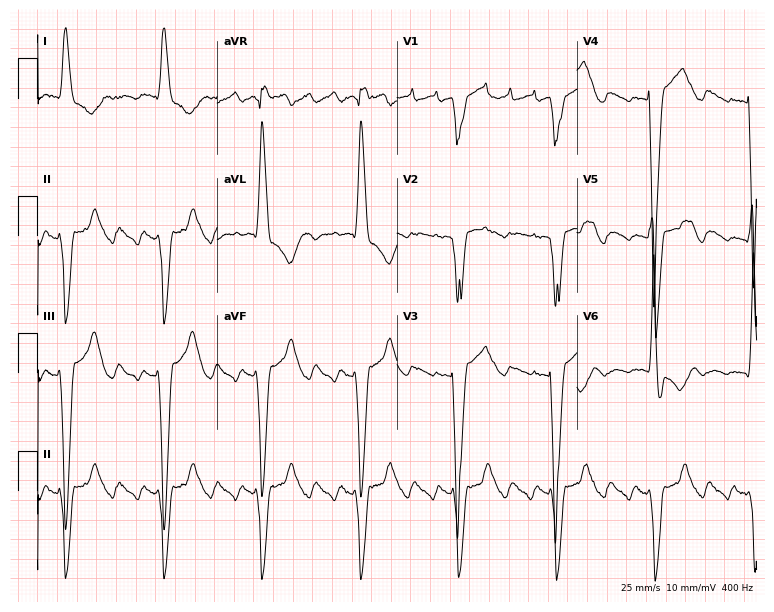
12-lead ECG from an 83-year-old male patient. Findings include left bundle branch block.